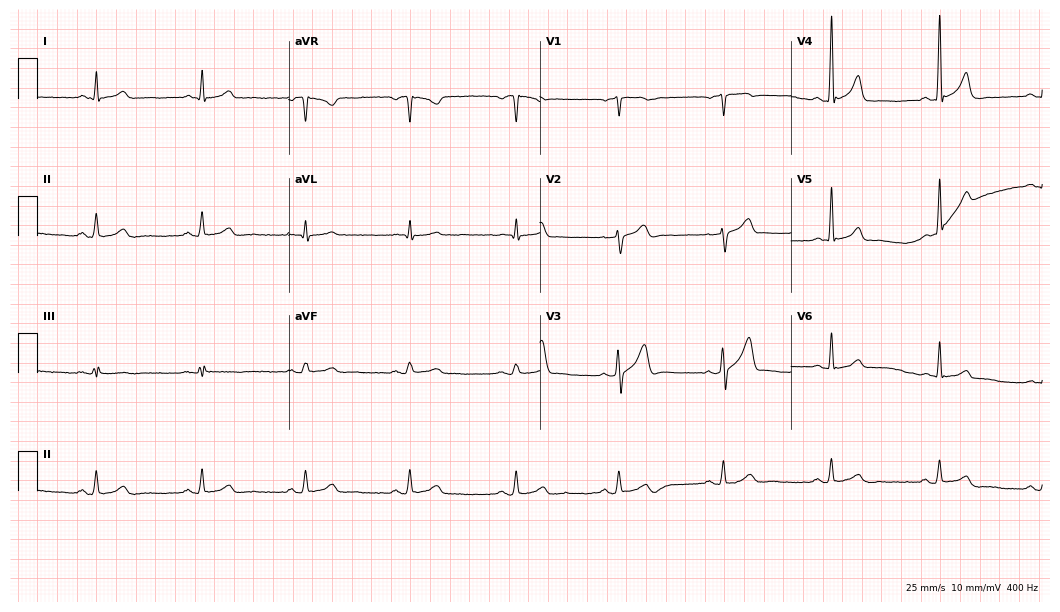
12-lead ECG from a male patient, 52 years old. Recorded interpretation: within normal limits.